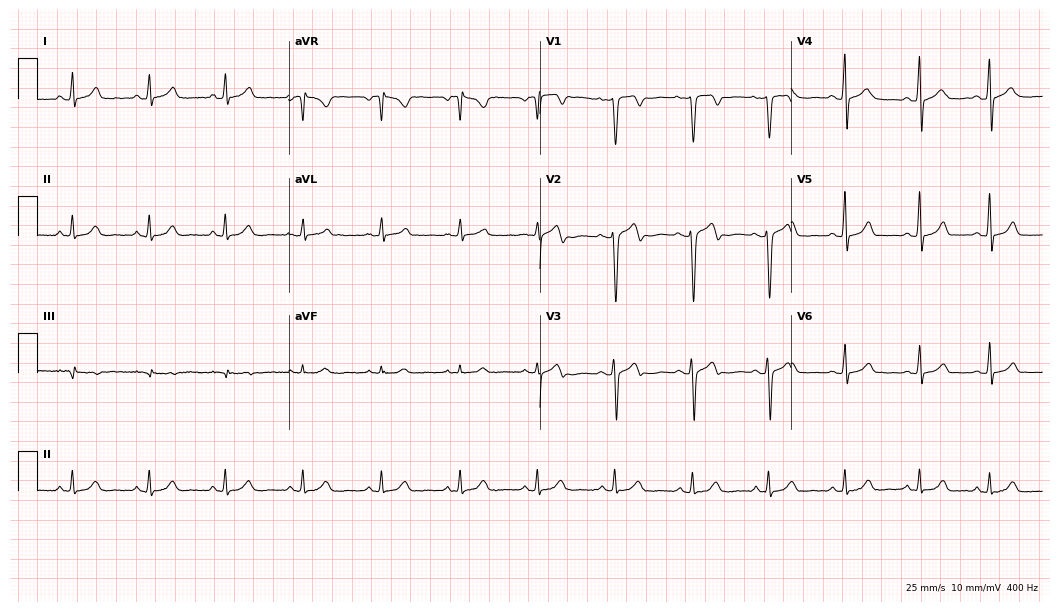
ECG (10.2-second recording at 400 Hz) — a female patient, 36 years old. Labelled as a normal ECG.